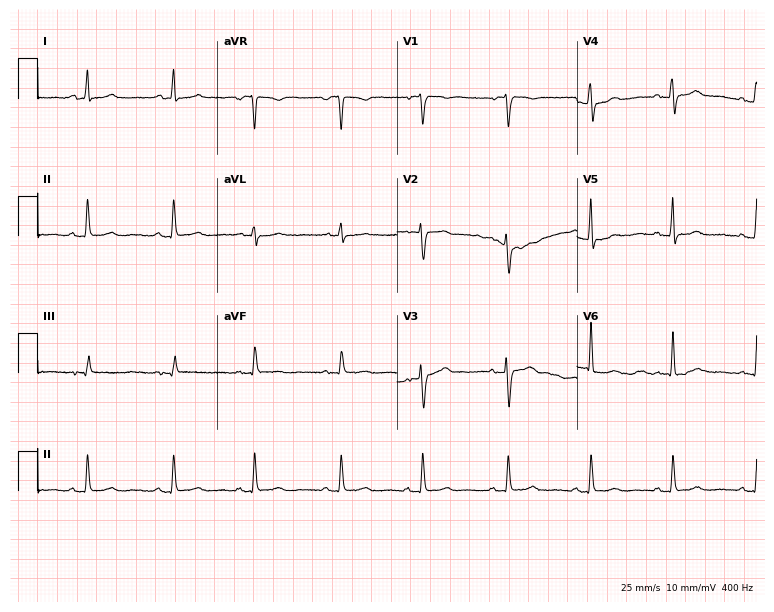
12-lead ECG from a 56-year-old female. Screened for six findings — first-degree AV block, right bundle branch block, left bundle branch block, sinus bradycardia, atrial fibrillation, sinus tachycardia — none is recorded.